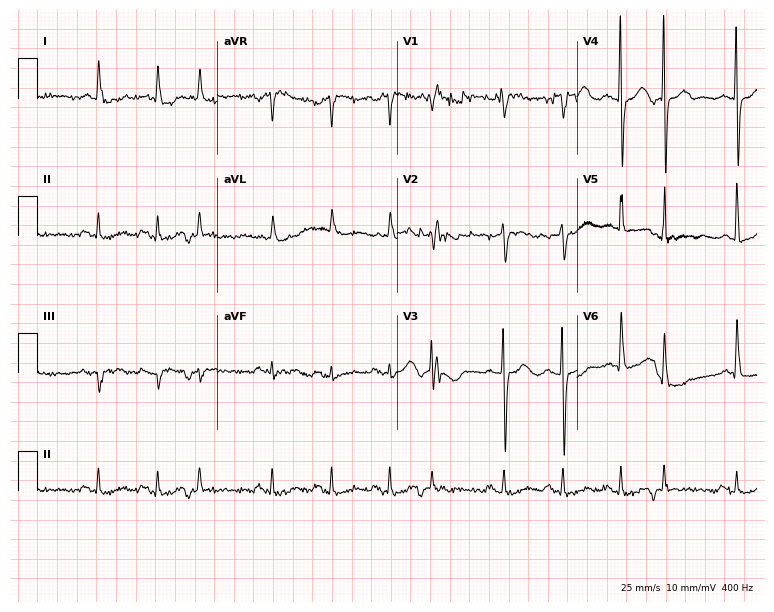
12-lead ECG from an 81-year-old woman (7.3-second recording at 400 Hz). No first-degree AV block, right bundle branch block, left bundle branch block, sinus bradycardia, atrial fibrillation or sinus tachycardia recorded for this tracing. Only these six findings were labelled.